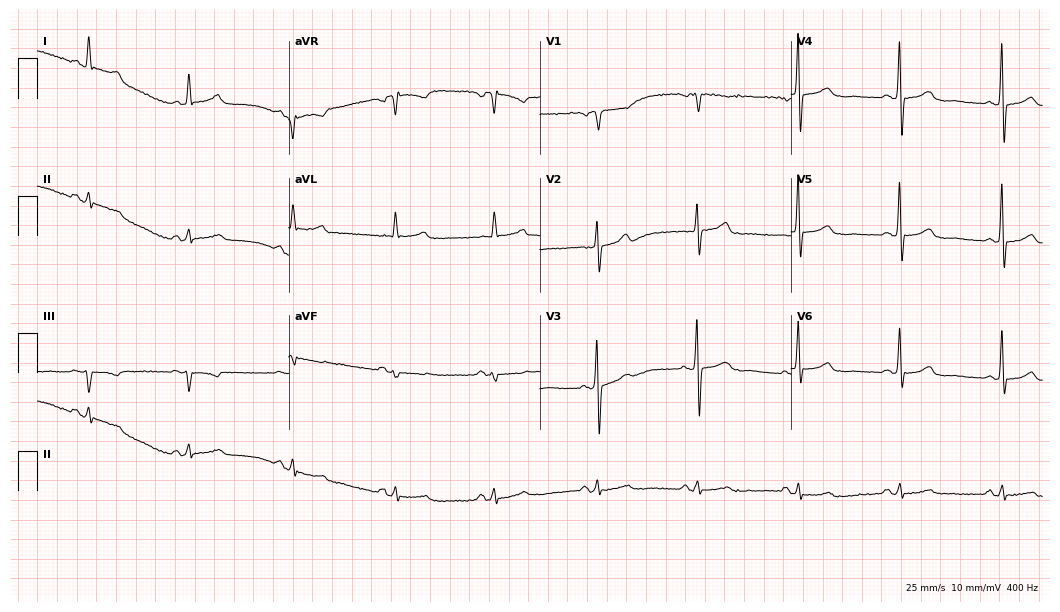
12-lead ECG (10.2-second recording at 400 Hz) from a female, 67 years old. Labelled as a normal ECG.